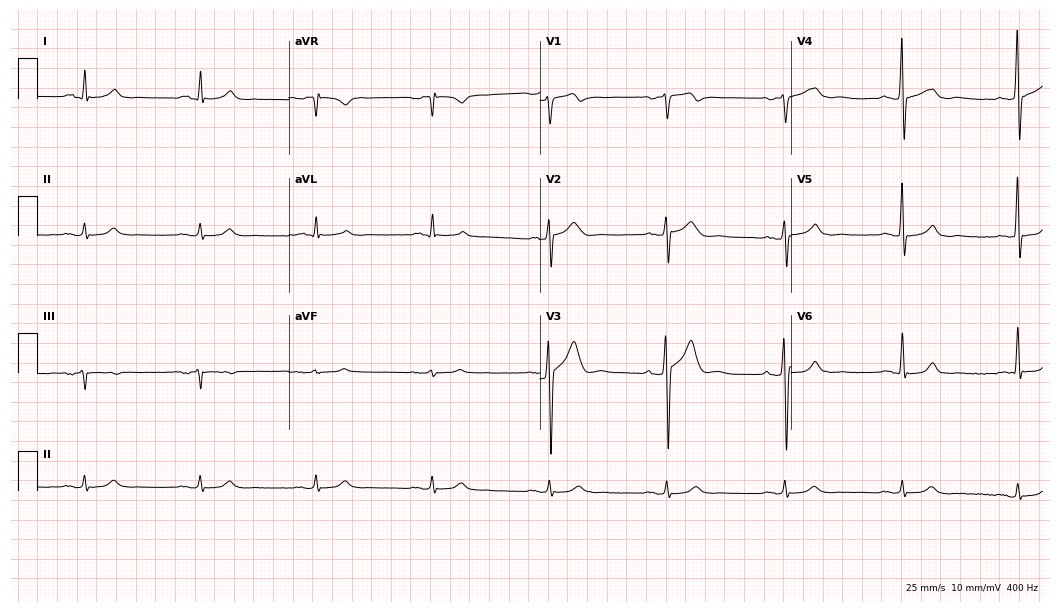
Resting 12-lead electrocardiogram (10.2-second recording at 400 Hz). Patient: a man, 64 years old. Read as a normal ECG.